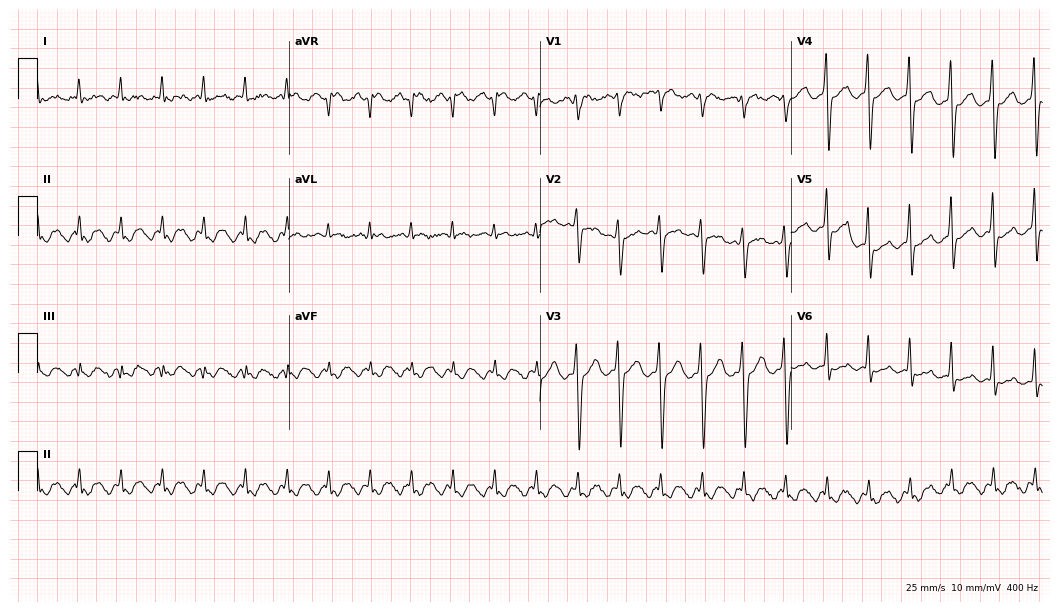
Resting 12-lead electrocardiogram (10.2-second recording at 400 Hz). Patient: a male, 57 years old. None of these six findings is recorded: first-degree AV block, right bundle branch block, left bundle branch block, sinus bradycardia, atrial fibrillation, sinus tachycardia. Findings outside these six are not listed.